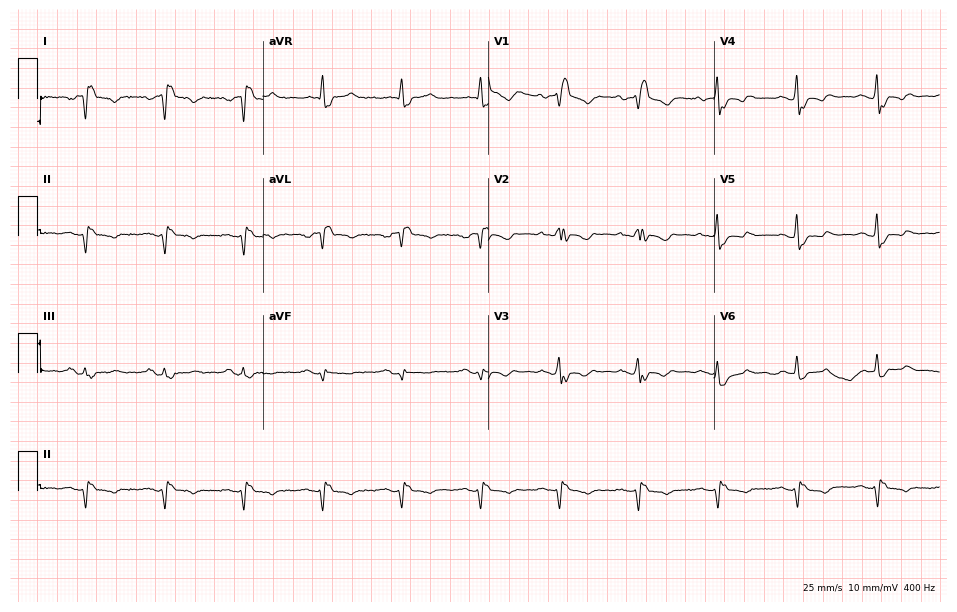
Resting 12-lead electrocardiogram (9.2-second recording at 400 Hz). Patient: a female, 57 years old. None of these six findings is recorded: first-degree AV block, right bundle branch block, left bundle branch block, sinus bradycardia, atrial fibrillation, sinus tachycardia. Only these six findings were labelled.